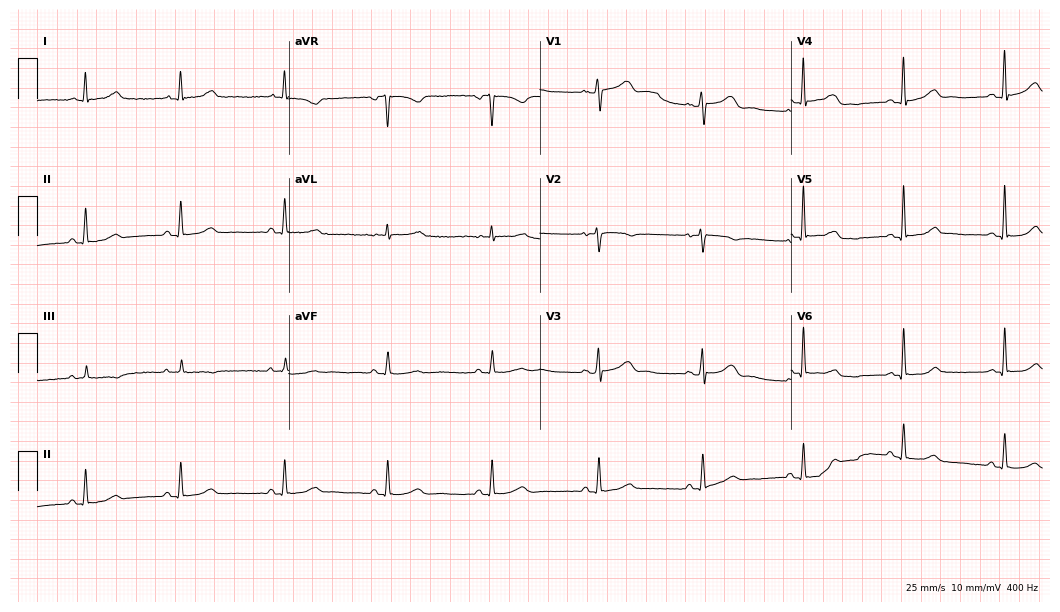
12-lead ECG from a 57-year-old female. Recorded interpretation: within normal limits.